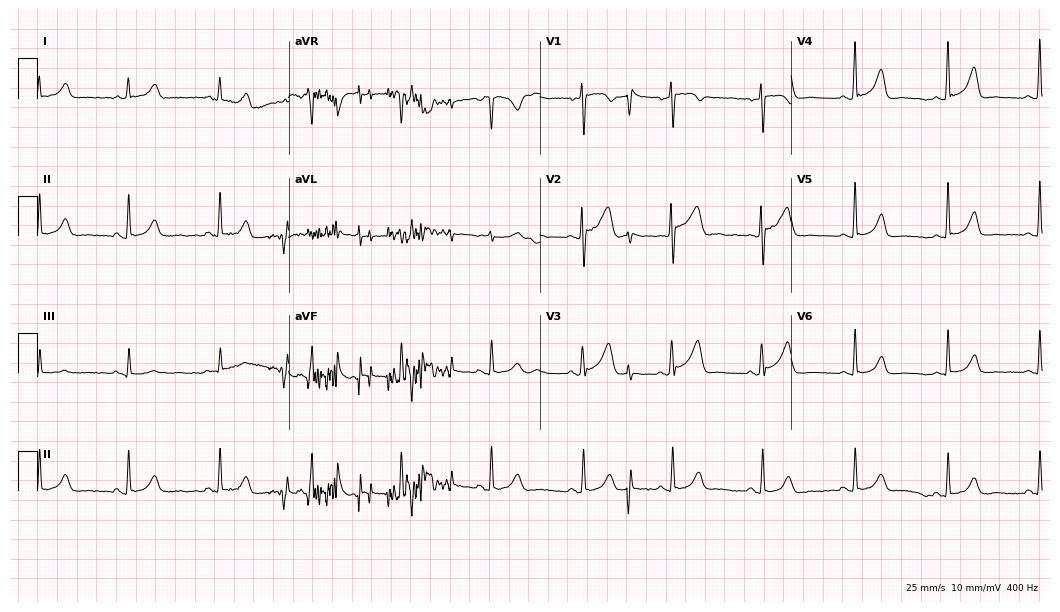
Electrocardiogram (10.2-second recording at 400 Hz), a female patient, 69 years old. Overall reading on record: normal ECG.